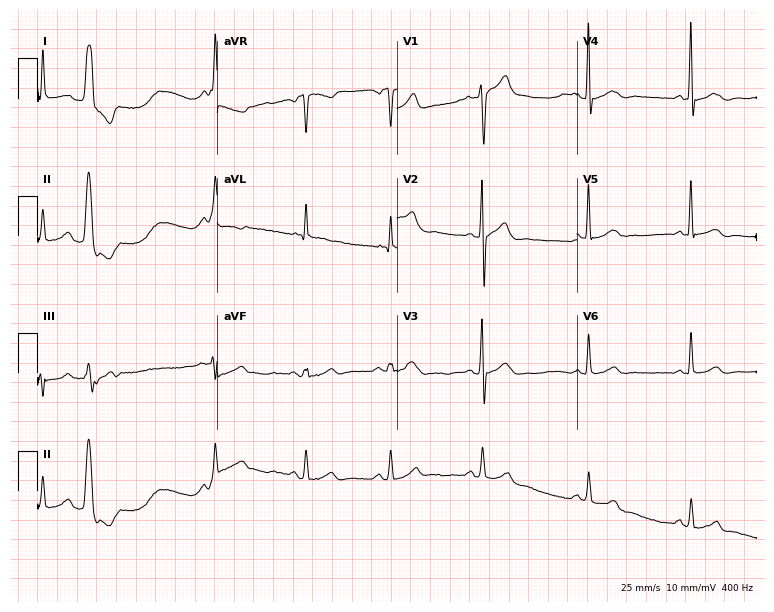
12-lead ECG (7.3-second recording at 400 Hz) from a 65-year-old man. Screened for six findings — first-degree AV block, right bundle branch block, left bundle branch block, sinus bradycardia, atrial fibrillation, sinus tachycardia — none is recorded.